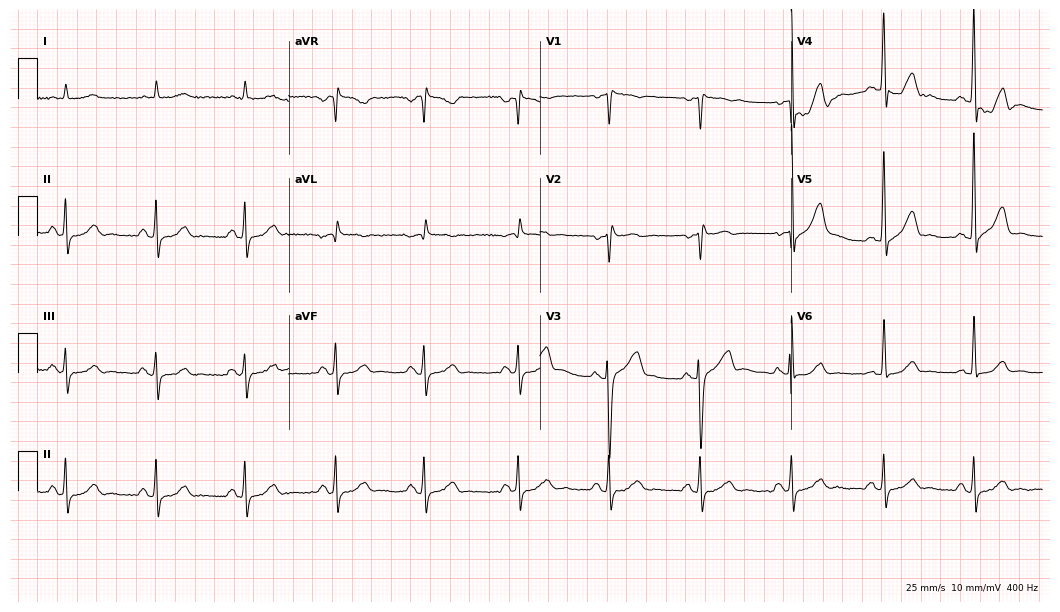
Resting 12-lead electrocardiogram (10.2-second recording at 400 Hz). Patient: a man, 77 years old. Read as a normal ECG.